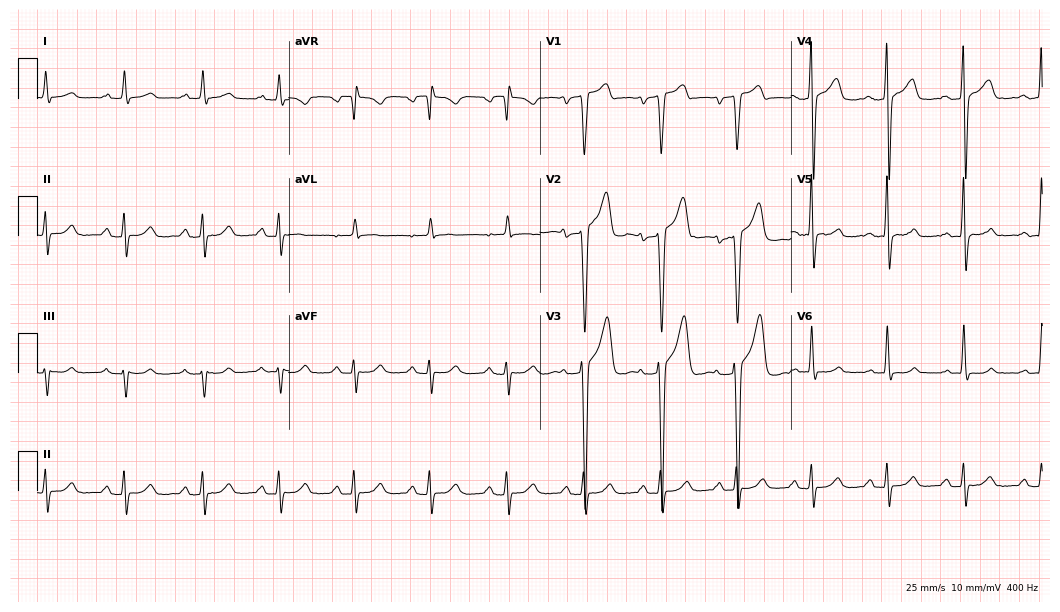
ECG — a 40-year-old male. Screened for six findings — first-degree AV block, right bundle branch block, left bundle branch block, sinus bradycardia, atrial fibrillation, sinus tachycardia — none is recorded.